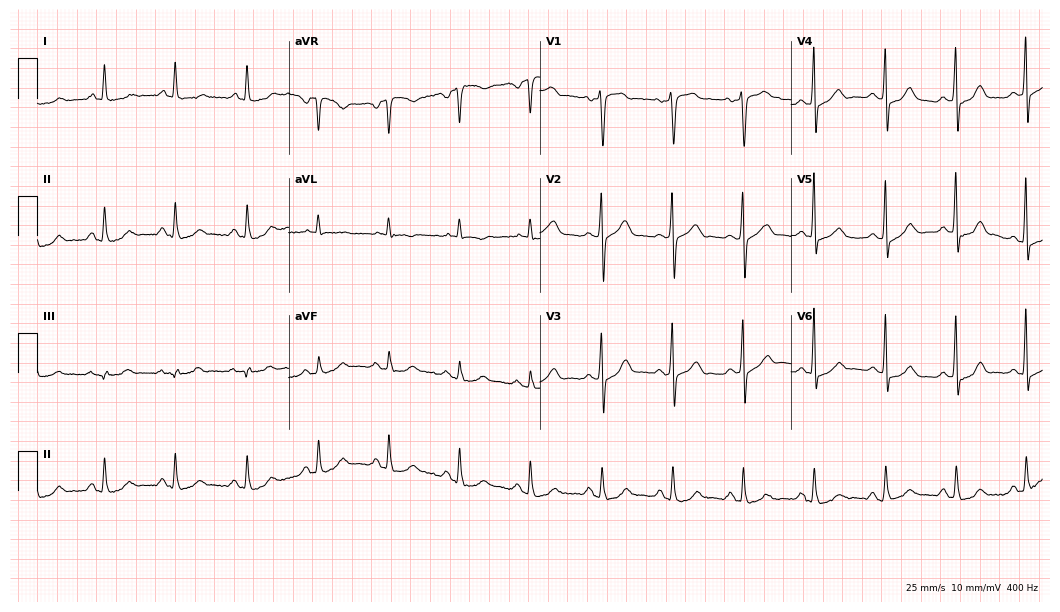
Electrocardiogram (10.2-second recording at 400 Hz), a 72-year-old man. Overall reading on record: normal ECG.